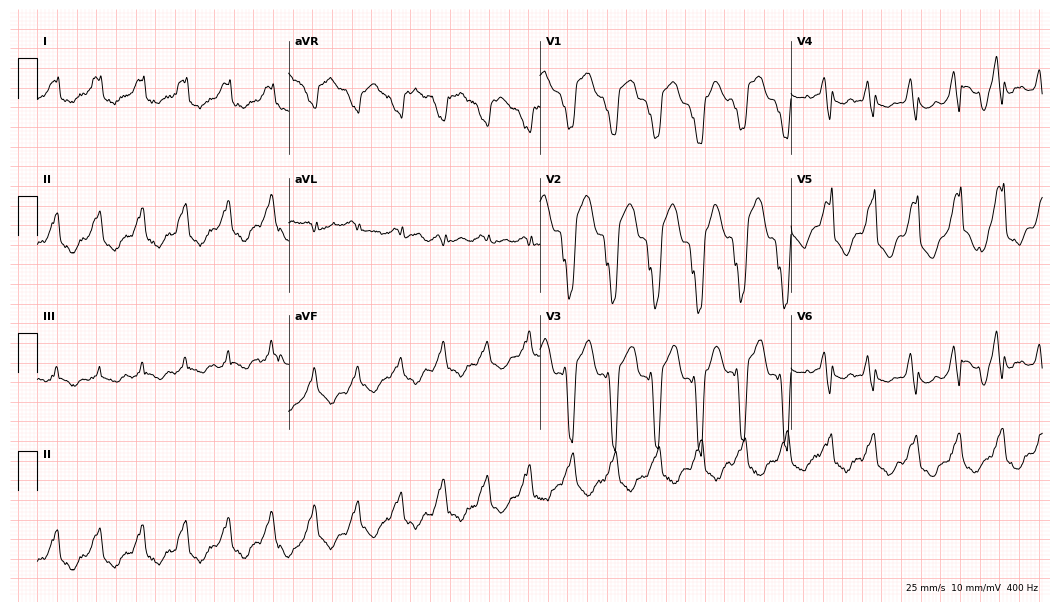
Resting 12-lead electrocardiogram. Patient: a male, 83 years old. None of these six findings is recorded: first-degree AV block, right bundle branch block, left bundle branch block, sinus bradycardia, atrial fibrillation, sinus tachycardia.